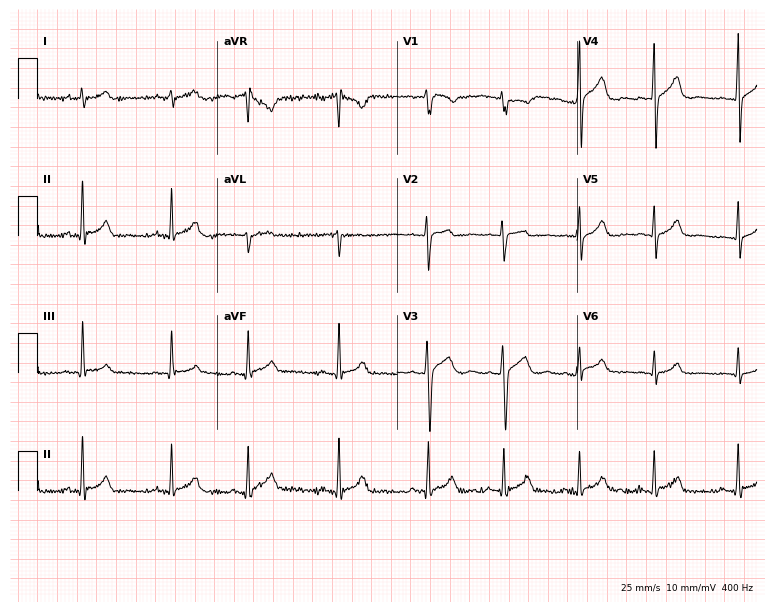
12-lead ECG (7.3-second recording at 400 Hz) from a male patient, 19 years old. Screened for six findings — first-degree AV block, right bundle branch block (RBBB), left bundle branch block (LBBB), sinus bradycardia, atrial fibrillation (AF), sinus tachycardia — none is recorded.